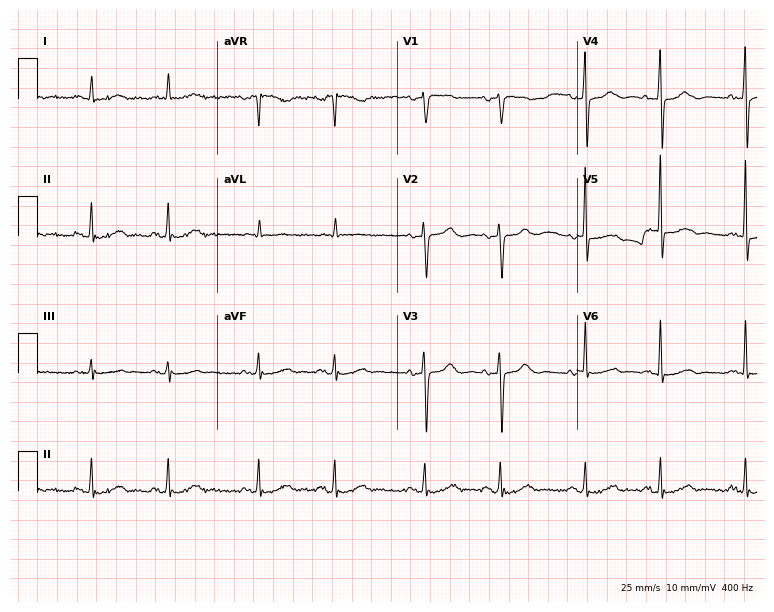
Standard 12-lead ECG recorded from an 80-year-old female. None of these six findings is recorded: first-degree AV block, right bundle branch block, left bundle branch block, sinus bradycardia, atrial fibrillation, sinus tachycardia. Other findings, if any, are not listed.